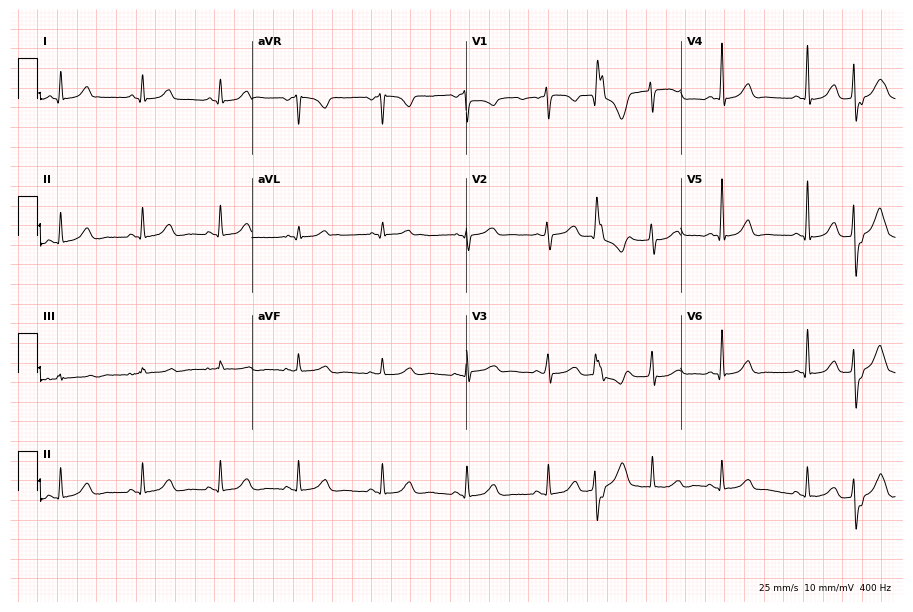
ECG (8.7-second recording at 400 Hz) — a woman, 49 years old. Screened for six findings — first-degree AV block, right bundle branch block (RBBB), left bundle branch block (LBBB), sinus bradycardia, atrial fibrillation (AF), sinus tachycardia — none is recorded.